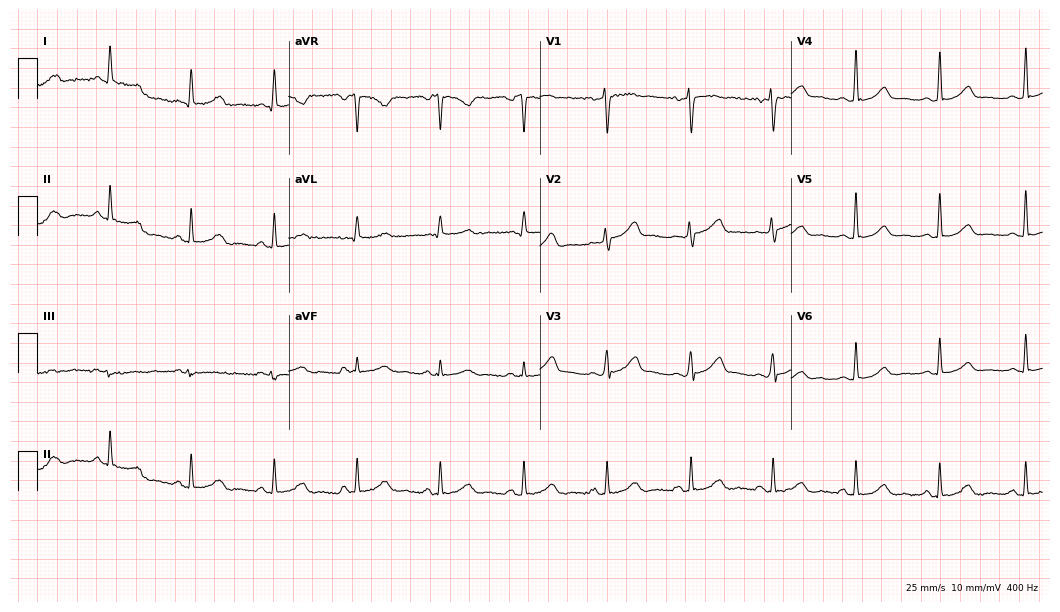
Standard 12-lead ECG recorded from a 52-year-old female (10.2-second recording at 400 Hz). Read as a normal ECG.